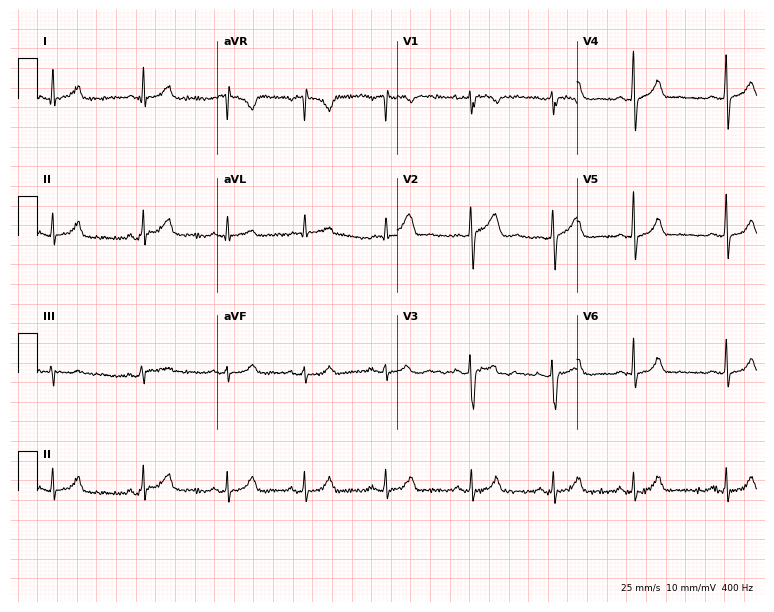
Electrocardiogram, a 33-year-old female patient. Of the six screened findings (first-degree AV block, right bundle branch block, left bundle branch block, sinus bradycardia, atrial fibrillation, sinus tachycardia), none is recorded.